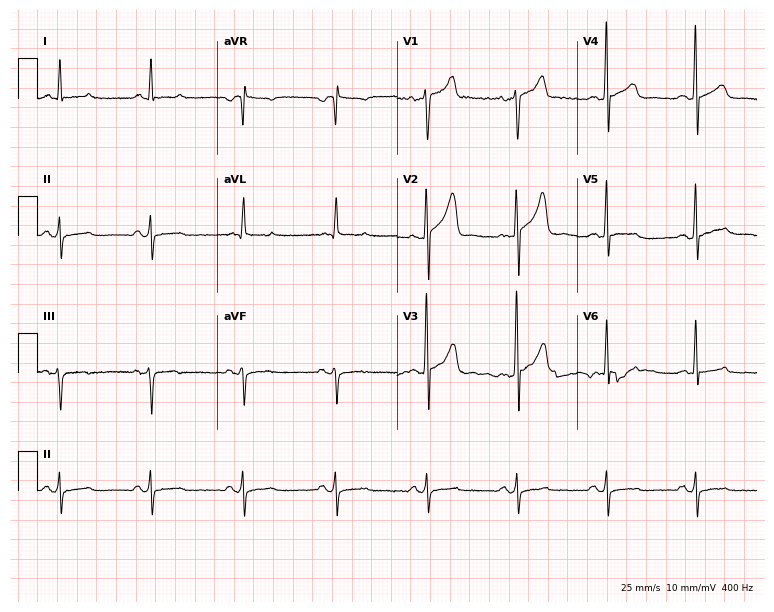
Standard 12-lead ECG recorded from a 59-year-old male patient (7.3-second recording at 400 Hz). None of these six findings is recorded: first-degree AV block, right bundle branch block (RBBB), left bundle branch block (LBBB), sinus bradycardia, atrial fibrillation (AF), sinus tachycardia. Findings outside these six are not listed.